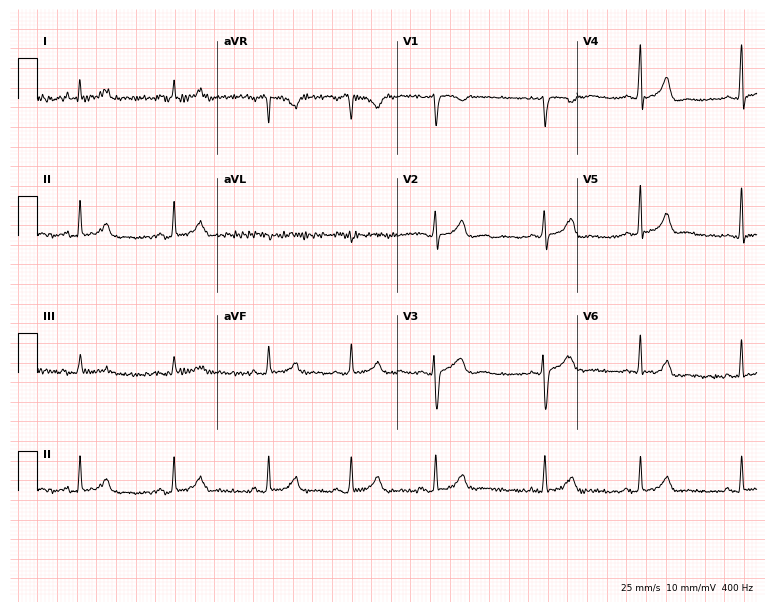
12-lead ECG (7.3-second recording at 400 Hz) from a 22-year-old female. Labelled as a normal ECG.